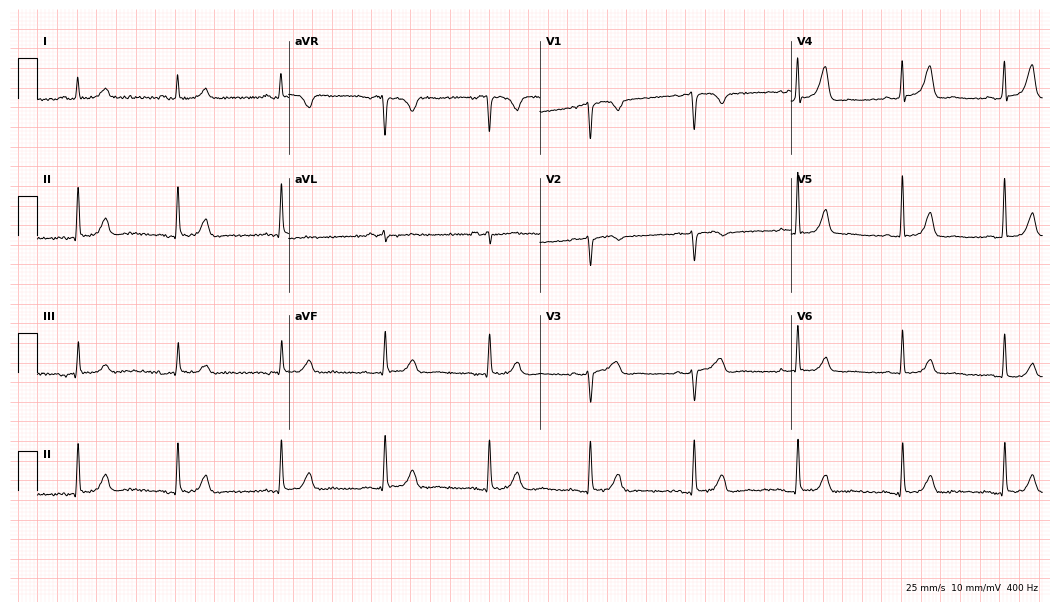
Resting 12-lead electrocardiogram. Patient: a woman, 64 years old. None of these six findings is recorded: first-degree AV block, right bundle branch block, left bundle branch block, sinus bradycardia, atrial fibrillation, sinus tachycardia. Findings outside these six are not listed.